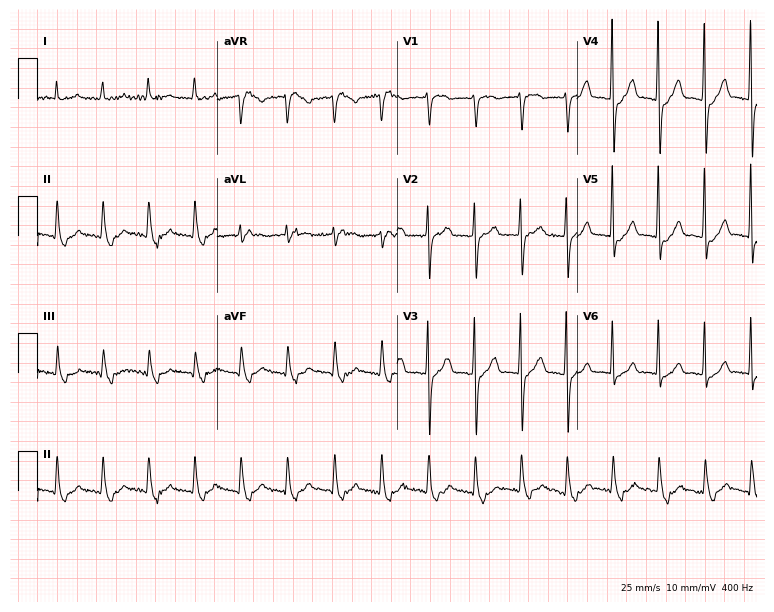
Standard 12-lead ECG recorded from a female, 68 years old (7.3-second recording at 400 Hz). None of these six findings is recorded: first-degree AV block, right bundle branch block, left bundle branch block, sinus bradycardia, atrial fibrillation, sinus tachycardia. Other findings, if any, are not listed.